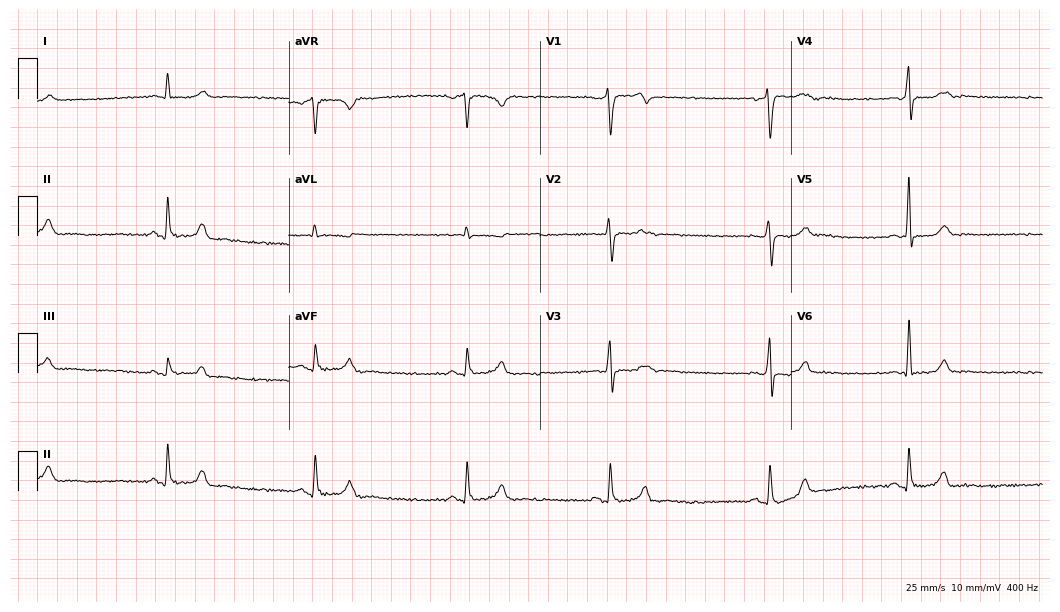
12-lead ECG from a 43-year-old man. Findings include sinus bradycardia (a sinus rate of 50 beats per minute or less).